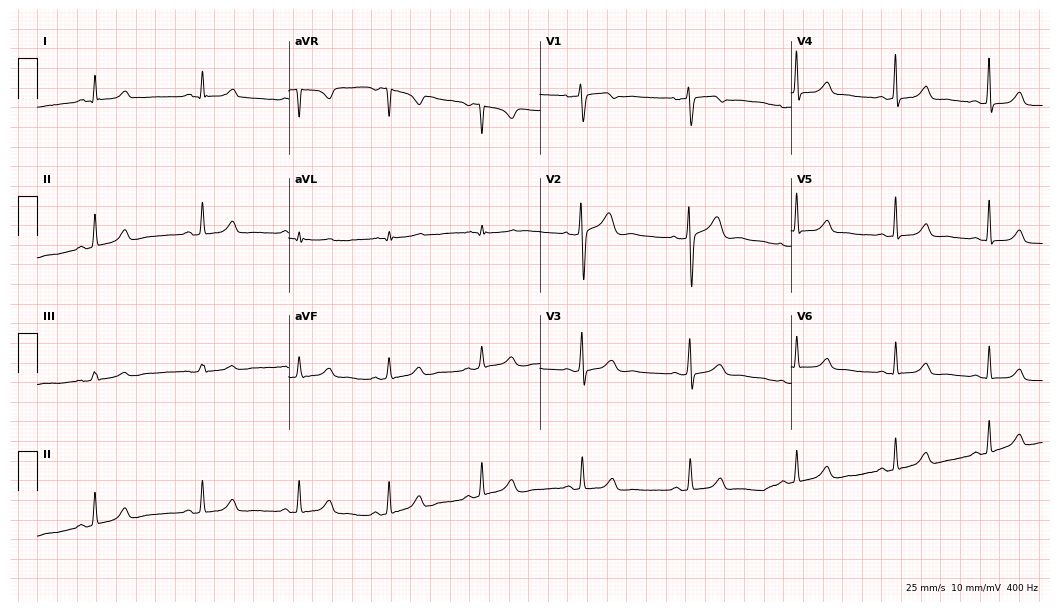
Standard 12-lead ECG recorded from a 30-year-old woman (10.2-second recording at 400 Hz). Read as a normal ECG.